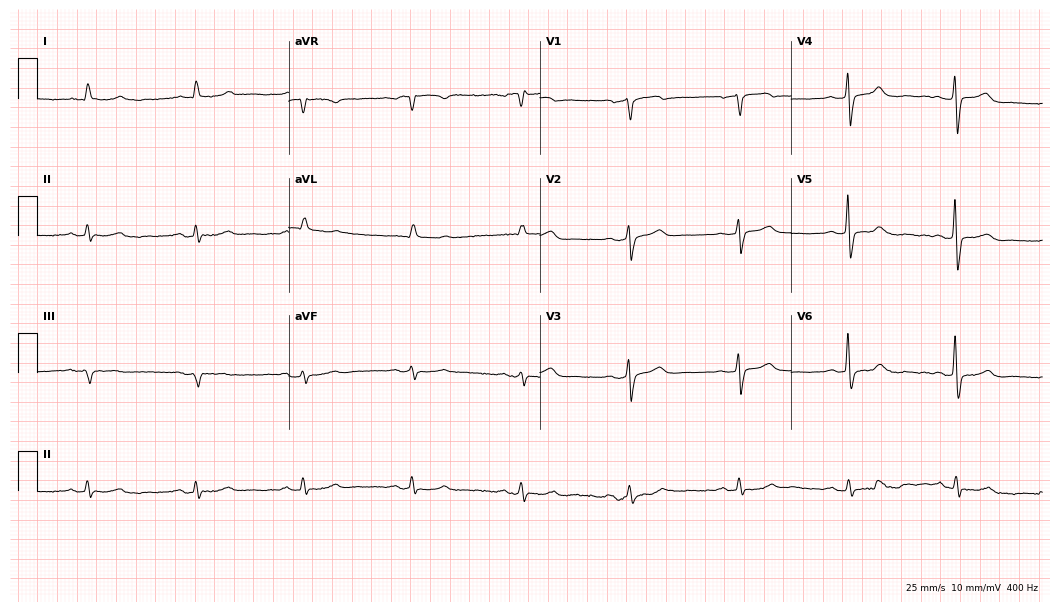
ECG — a 74-year-old male. Screened for six findings — first-degree AV block, right bundle branch block (RBBB), left bundle branch block (LBBB), sinus bradycardia, atrial fibrillation (AF), sinus tachycardia — none is recorded. Other findings, if any, are not listed.